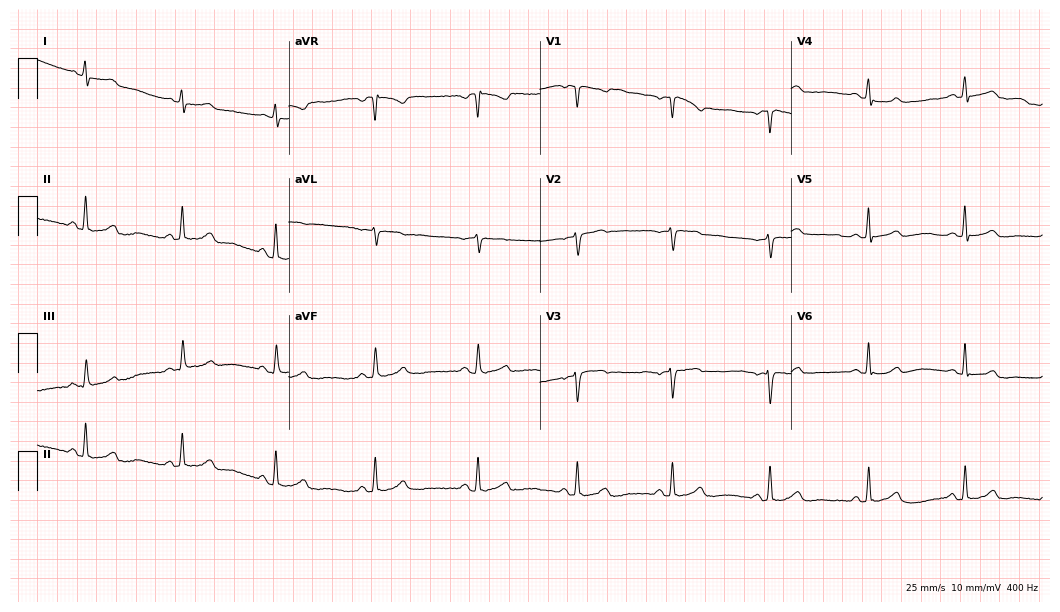
12-lead ECG from a female, 51 years old. Labelled as a normal ECG.